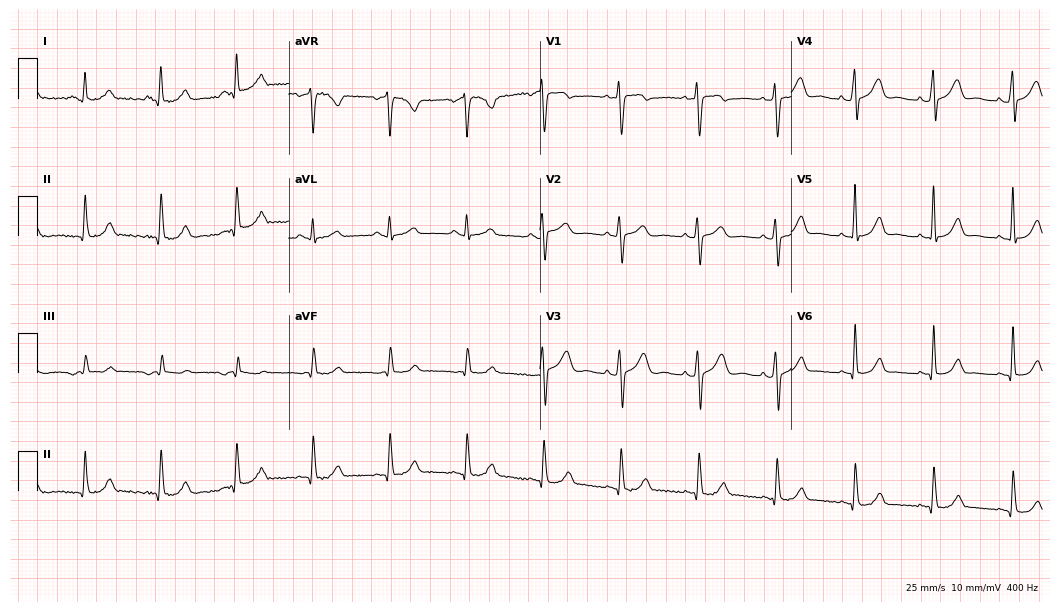
Resting 12-lead electrocardiogram. Patient: a female, 45 years old. Read as a normal ECG.